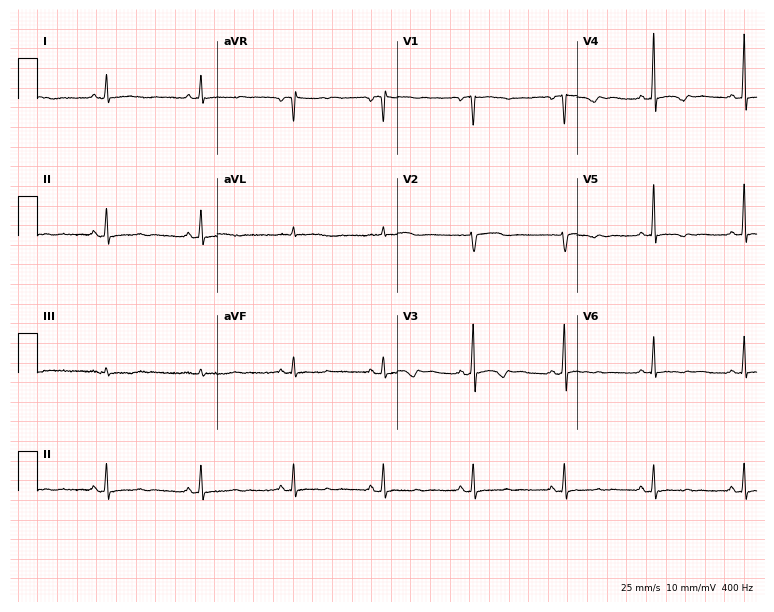
Electrocardiogram, a male, 41 years old. Of the six screened findings (first-degree AV block, right bundle branch block (RBBB), left bundle branch block (LBBB), sinus bradycardia, atrial fibrillation (AF), sinus tachycardia), none is recorded.